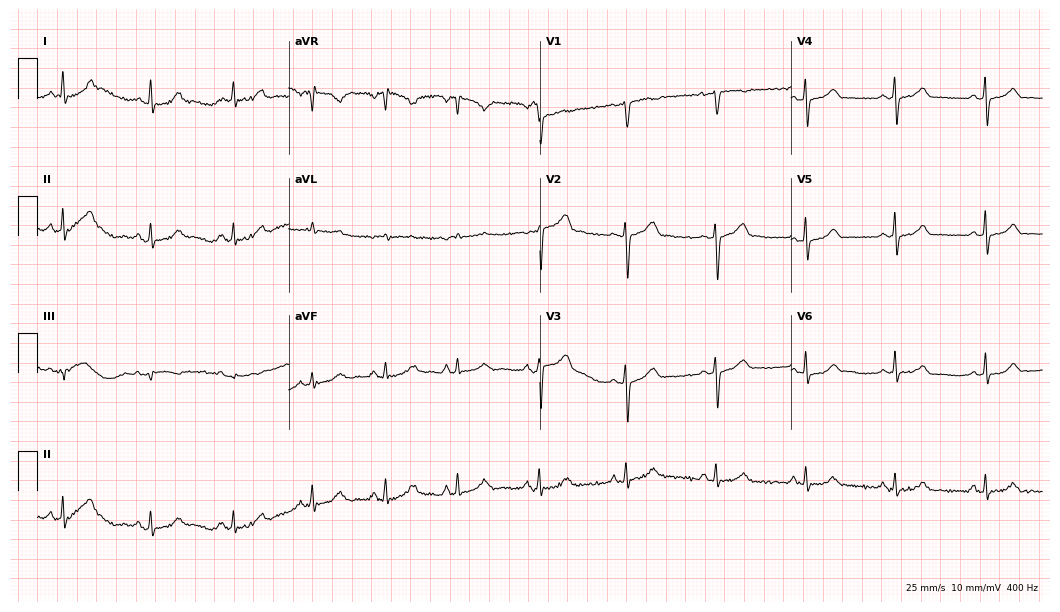
Electrocardiogram, a 35-year-old female patient. Overall reading on record: normal ECG.